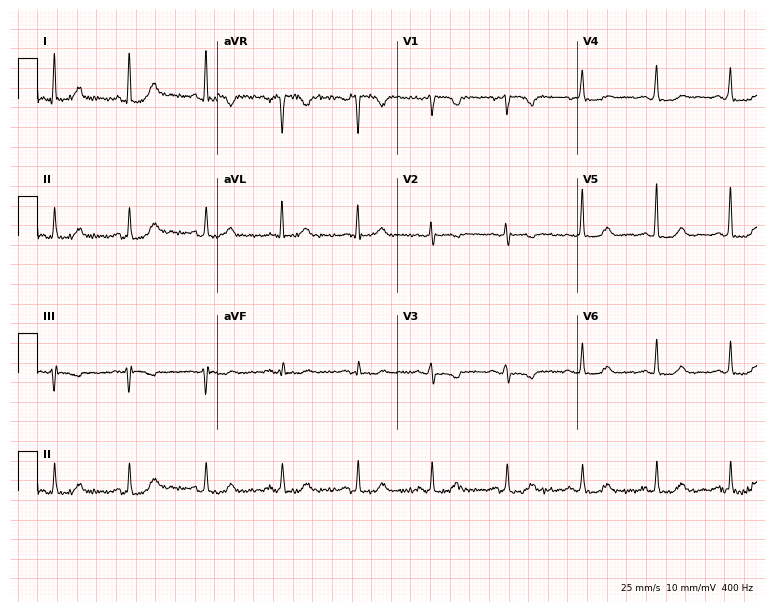
Resting 12-lead electrocardiogram (7.3-second recording at 400 Hz). Patient: a 66-year-old female. None of these six findings is recorded: first-degree AV block, right bundle branch block, left bundle branch block, sinus bradycardia, atrial fibrillation, sinus tachycardia. Other findings, if any, are not listed.